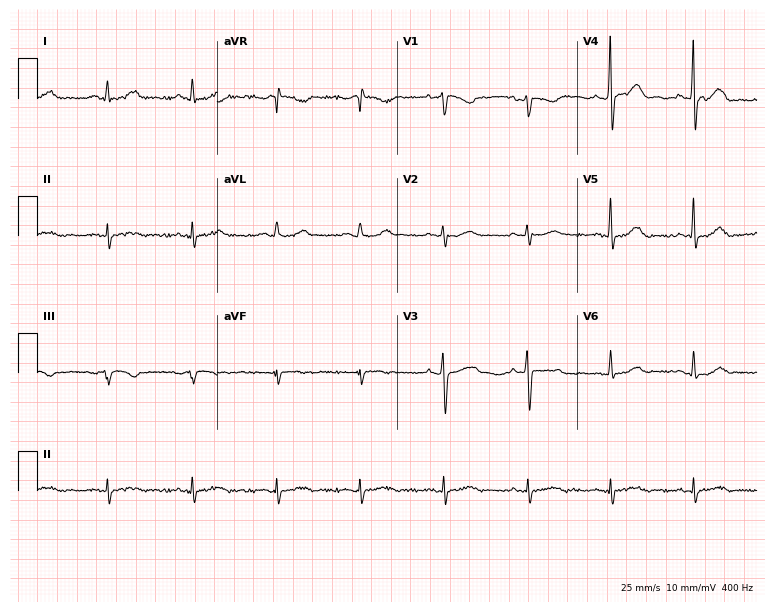
Resting 12-lead electrocardiogram (7.3-second recording at 400 Hz). Patient: a female, 36 years old. Read as a normal ECG.